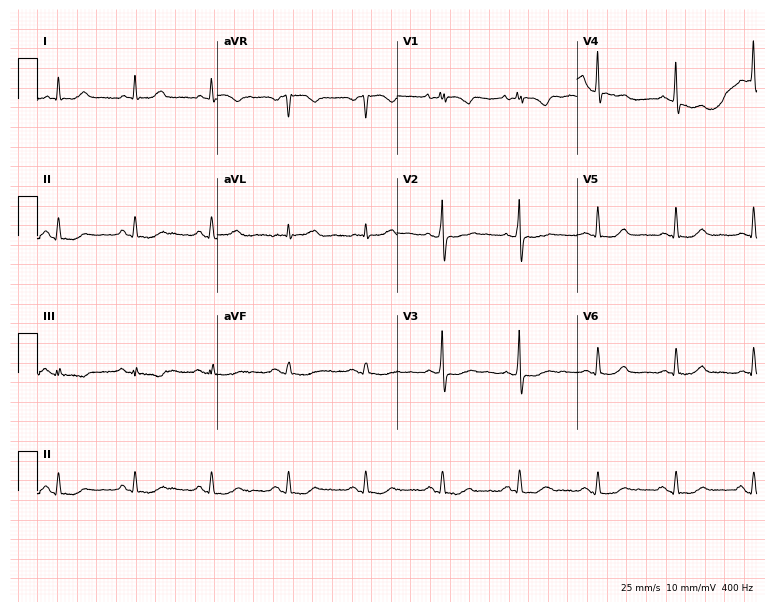
Electrocardiogram, a woman, 71 years old. Of the six screened findings (first-degree AV block, right bundle branch block, left bundle branch block, sinus bradycardia, atrial fibrillation, sinus tachycardia), none is recorded.